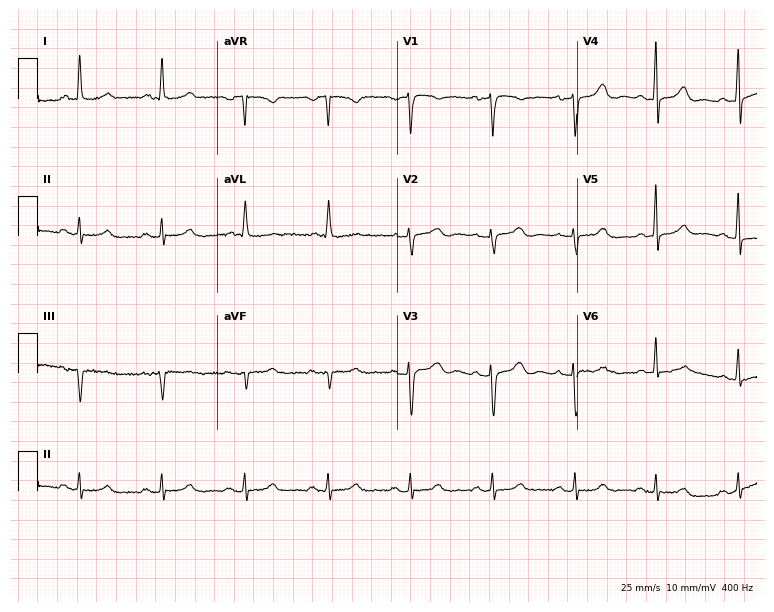
Electrocardiogram (7.3-second recording at 400 Hz), a woman, 72 years old. Overall reading on record: normal ECG.